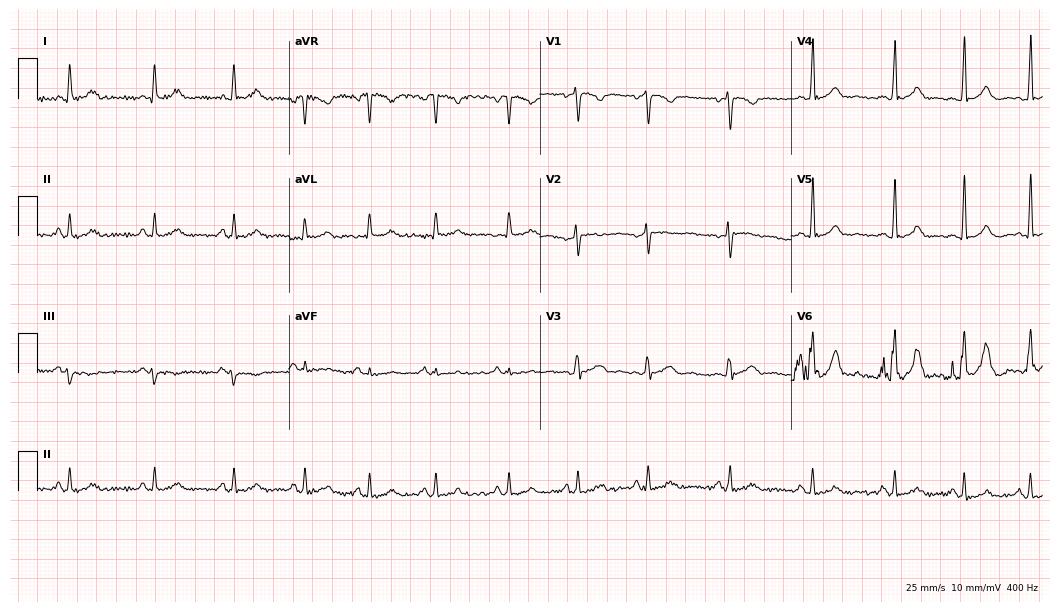
Resting 12-lead electrocardiogram (10.2-second recording at 400 Hz). Patient: a female, 27 years old. Read as a normal ECG.